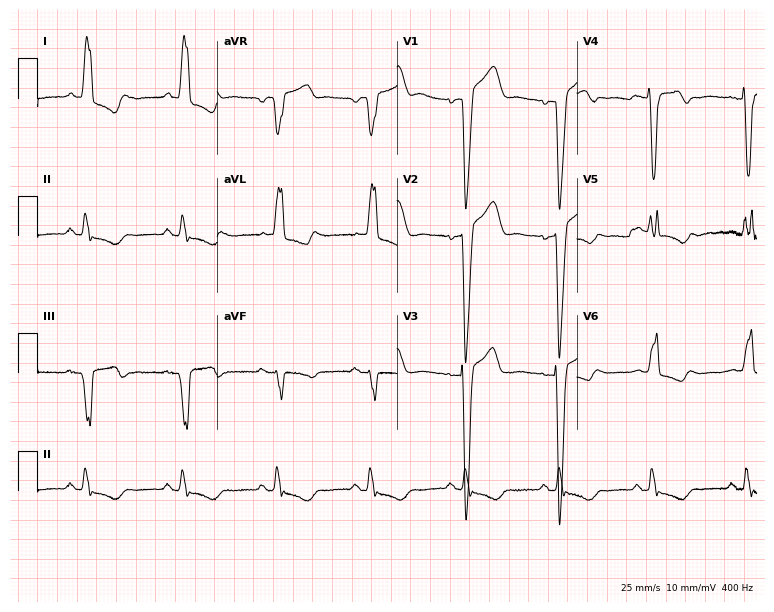
Resting 12-lead electrocardiogram (7.3-second recording at 400 Hz). Patient: a 74-year-old female. The tracing shows left bundle branch block.